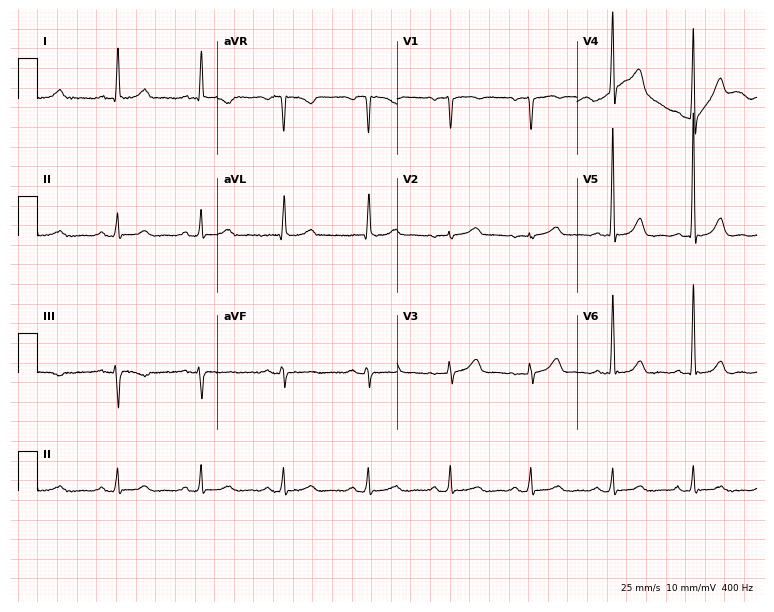
Electrocardiogram, a female, 58 years old. Overall reading on record: normal ECG.